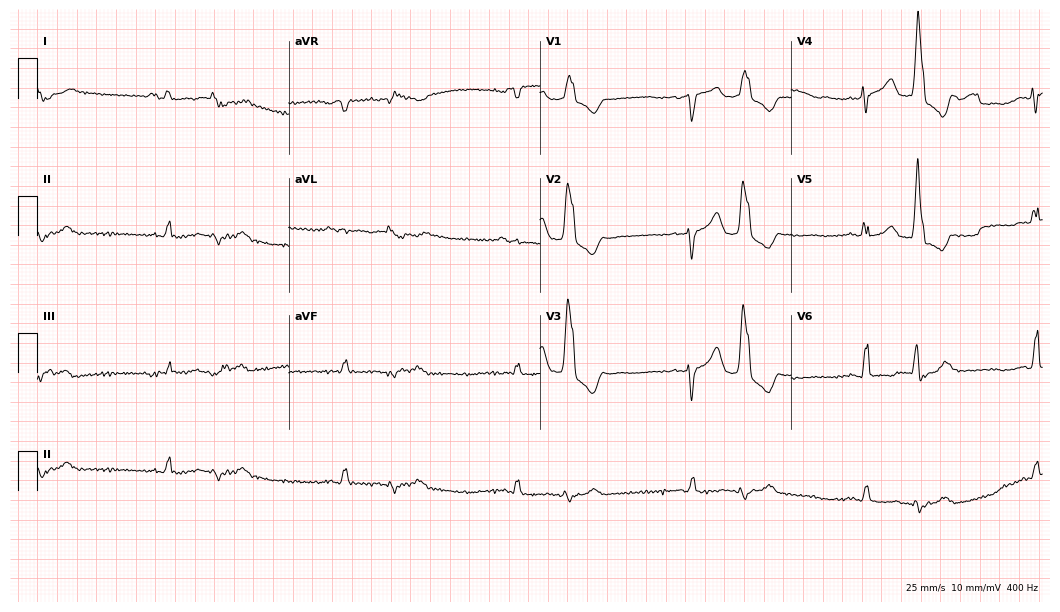
12-lead ECG (10.2-second recording at 400 Hz) from a 66-year-old male. Screened for six findings — first-degree AV block, right bundle branch block (RBBB), left bundle branch block (LBBB), sinus bradycardia, atrial fibrillation (AF), sinus tachycardia — none is recorded. Only these six findings were labelled.